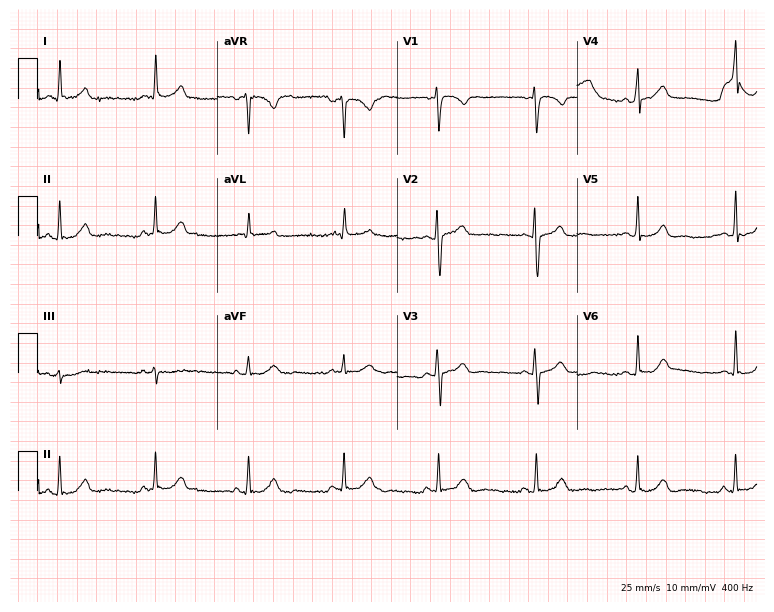
Electrocardiogram (7.3-second recording at 400 Hz), a male patient, 42 years old. Overall reading on record: normal ECG.